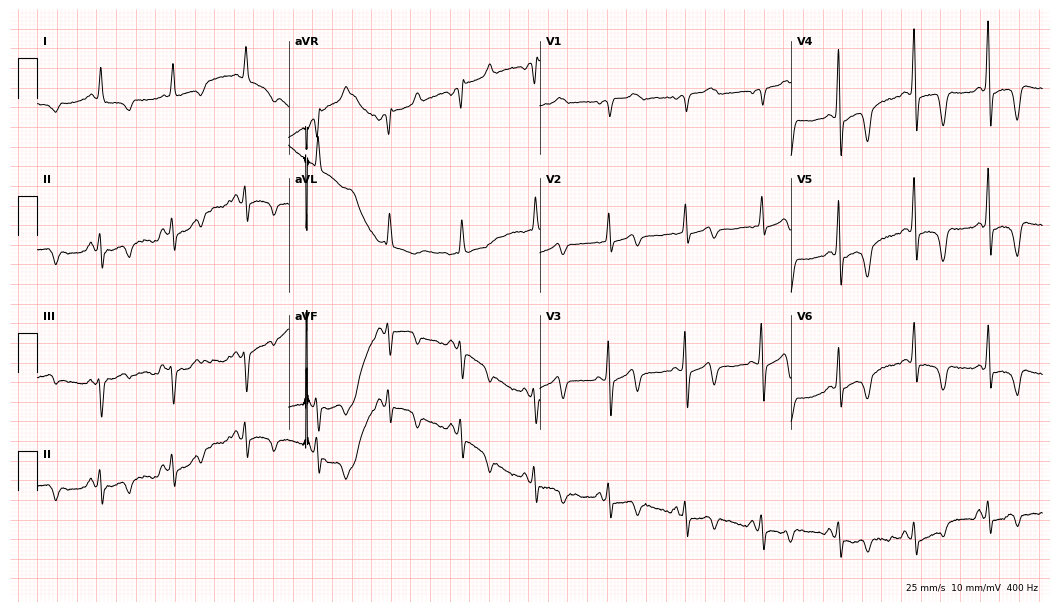
Electrocardiogram (10.2-second recording at 400 Hz), a 66-year-old female patient. Of the six screened findings (first-degree AV block, right bundle branch block (RBBB), left bundle branch block (LBBB), sinus bradycardia, atrial fibrillation (AF), sinus tachycardia), none is recorded.